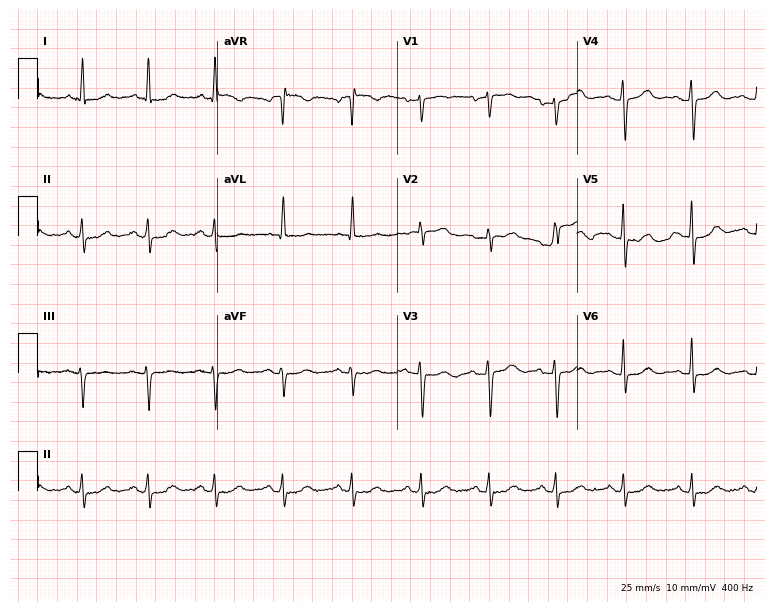
ECG — an 83-year-old female patient. Screened for six findings — first-degree AV block, right bundle branch block, left bundle branch block, sinus bradycardia, atrial fibrillation, sinus tachycardia — none is recorded.